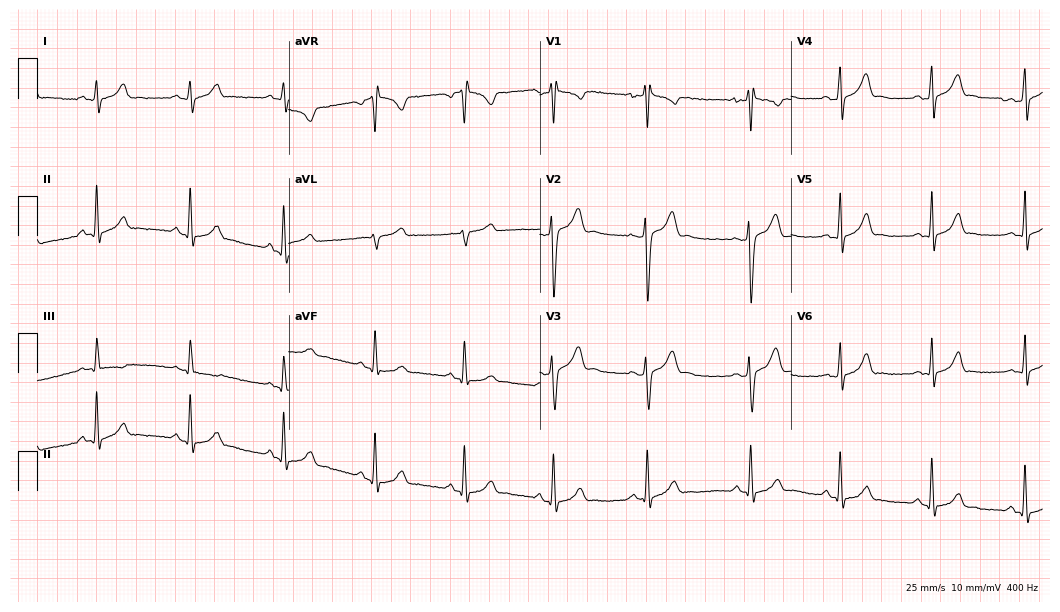
Standard 12-lead ECG recorded from a 20-year-old male patient (10.2-second recording at 400 Hz). Read as a normal ECG.